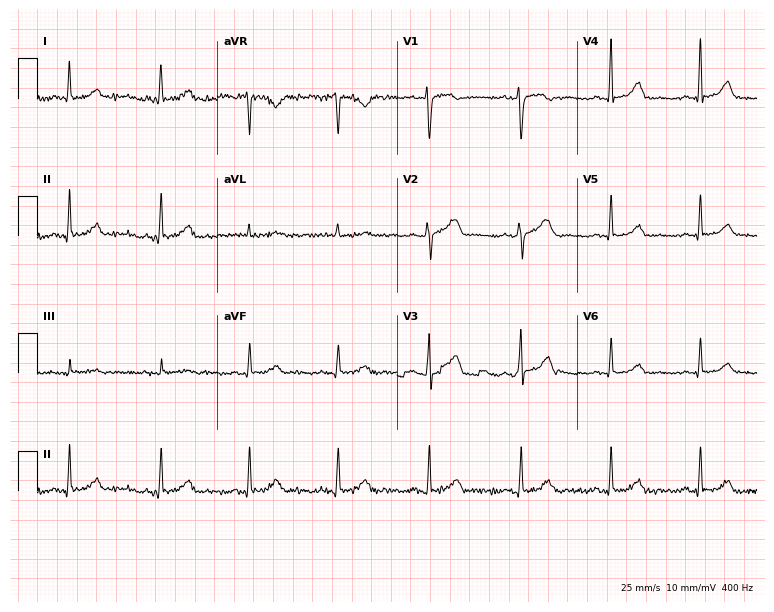
12-lead ECG (7.3-second recording at 400 Hz) from a female patient, 54 years old. Screened for six findings — first-degree AV block, right bundle branch block, left bundle branch block, sinus bradycardia, atrial fibrillation, sinus tachycardia — none is recorded.